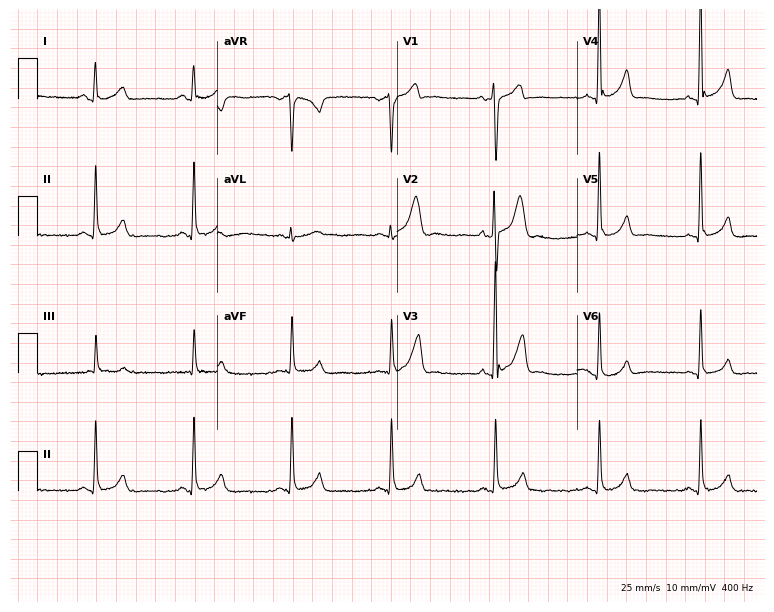
12-lead ECG from a 41-year-old man. No first-degree AV block, right bundle branch block, left bundle branch block, sinus bradycardia, atrial fibrillation or sinus tachycardia recorded for this tracing.